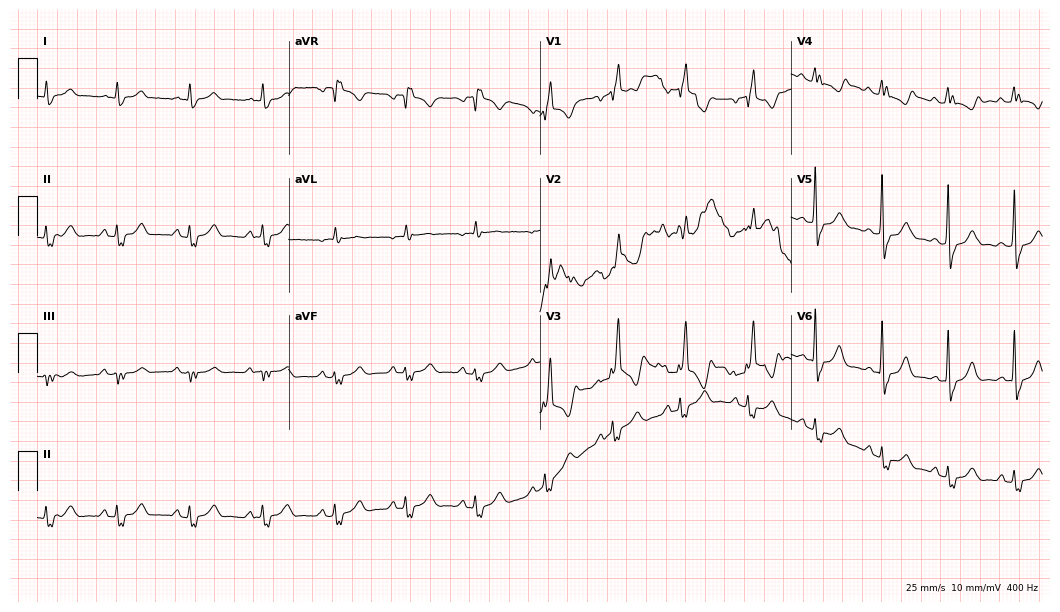
12-lead ECG (10.2-second recording at 400 Hz) from a 62-year-old man. Findings include right bundle branch block.